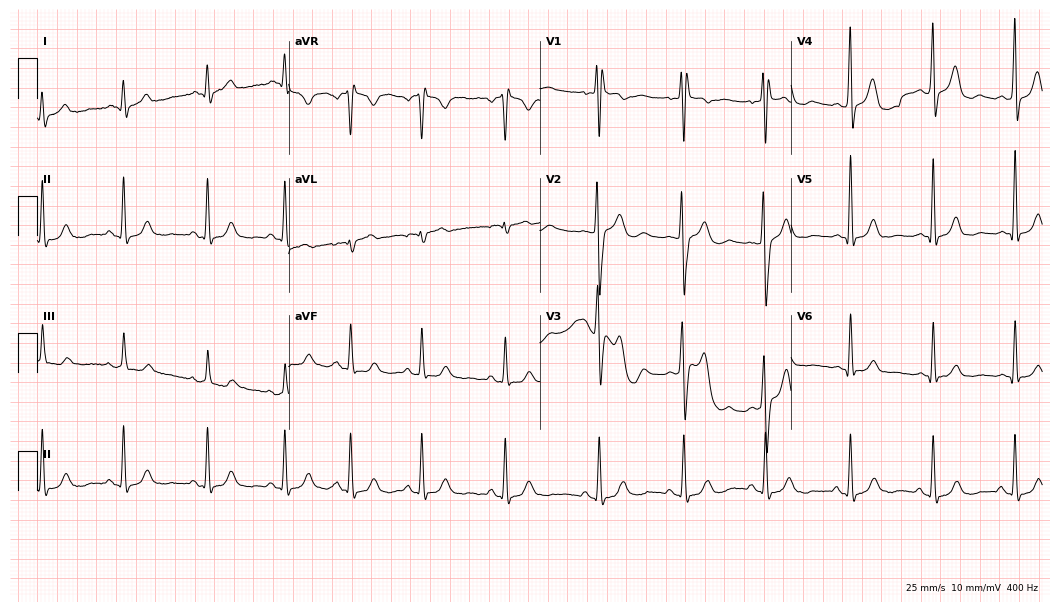
ECG — a male, 24 years old. Screened for six findings — first-degree AV block, right bundle branch block (RBBB), left bundle branch block (LBBB), sinus bradycardia, atrial fibrillation (AF), sinus tachycardia — none is recorded.